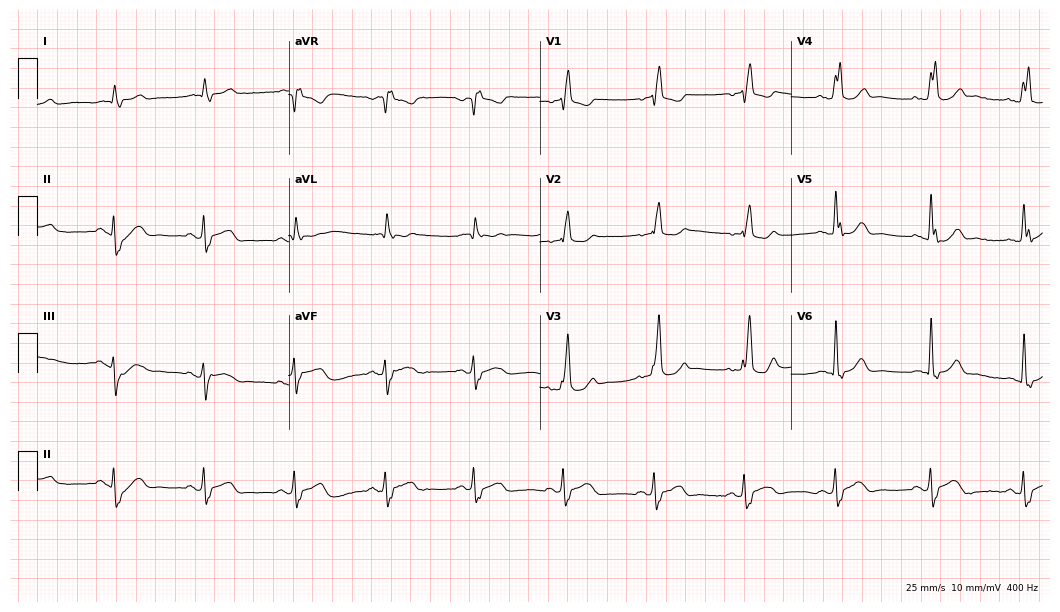
12-lead ECG from a 74-year-old male patient (10.2-second recording at 400 Hz). Shows right bundle branch block (RBBB).